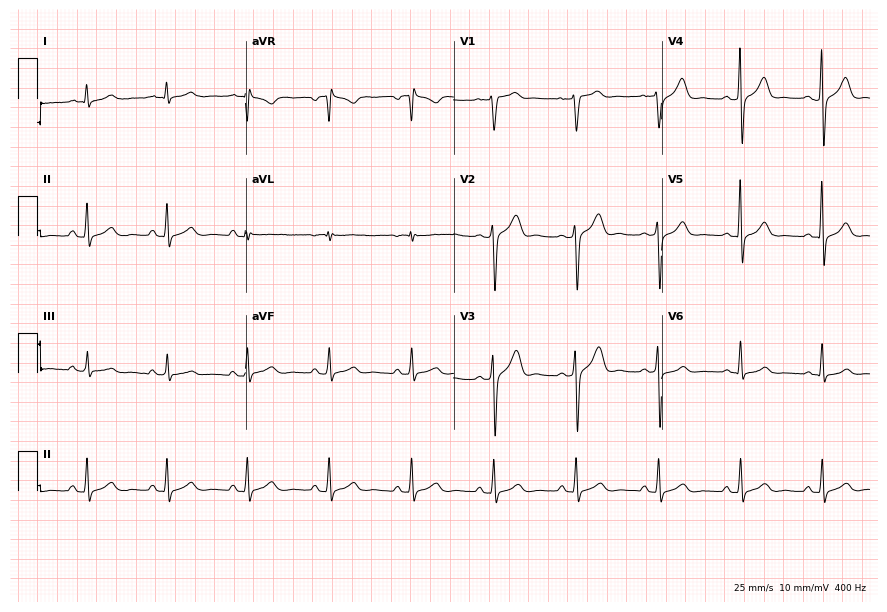
12-lead ECG from a 48-year-old male patient. No first-degree AV block, right bundle branch block (RBBB), left bundle branch block (LBBB), sinus bradycardia, atrial fibrillation (AF) or sinus tachycardia recorded for this tracing. Findings outside these six are not listed.